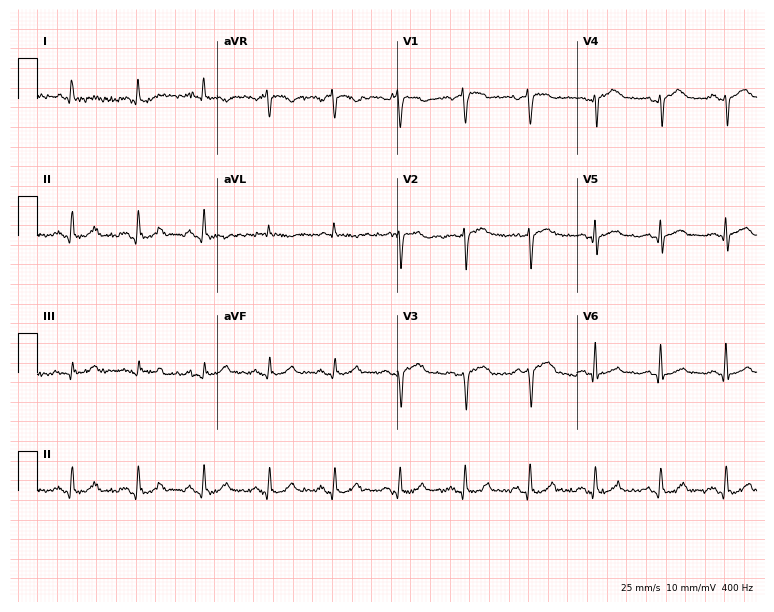
Resting 12-lead electrocardiogram. Patient: a male, 72 years old. Read as a normal ECG.